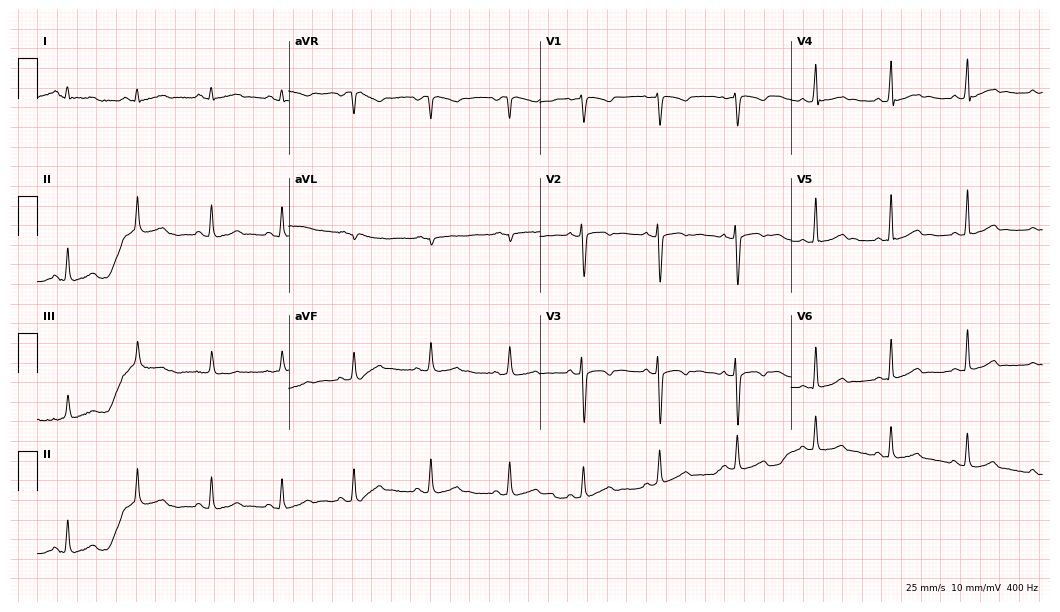
Resting 12-lead electrocardiogram (10.2-second recording at 400 Hz). Patient: a 25-year-old female. None of these six findings is recorded: first-degree AV block, right bundle branch block, left bundle branch block, sinus bradycardia, atrial fibrillation, sinus tachycardia.